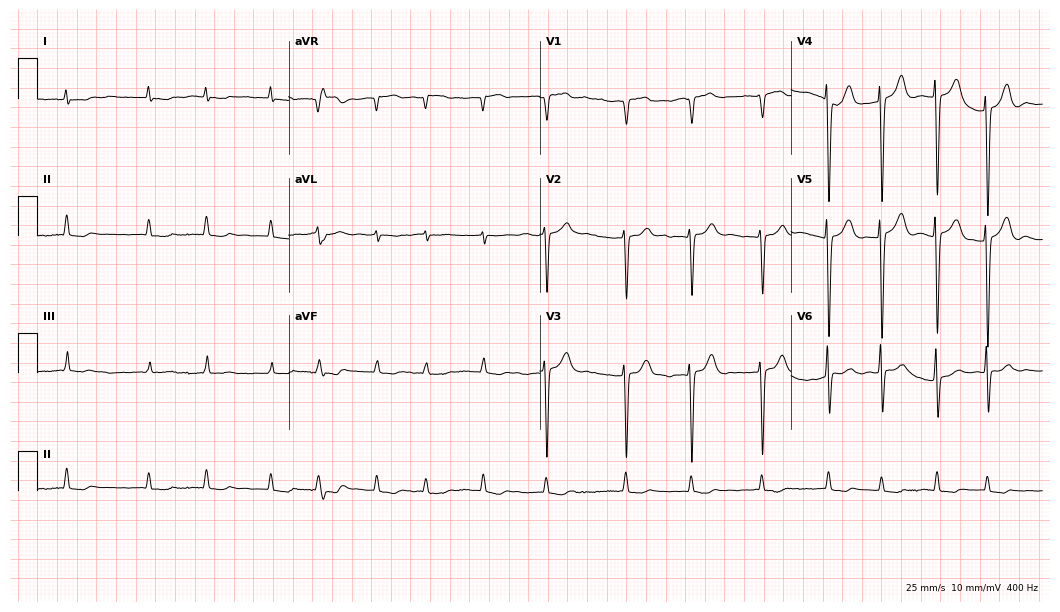
Standard 12-lead ECG recorded from a woman, 82 years old. The tracing shows atrial fibrillation (AF).